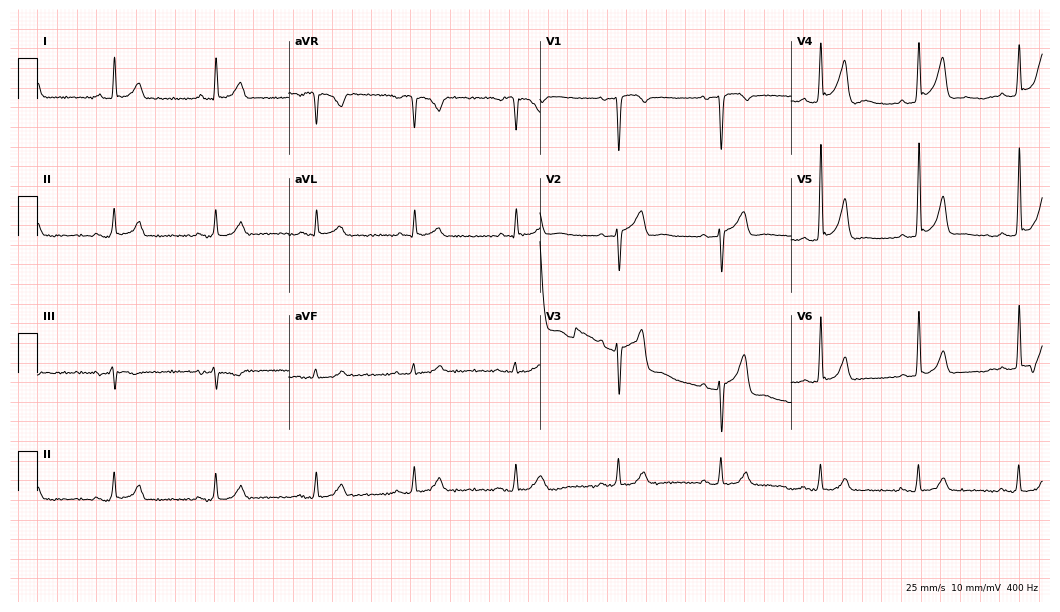
Standard 12-lead ECG recorded from a 53-year-old man. None of these six findings is recorded: first-degree AV block, right bundle branch block, left bundle branch block, sinus bradycardia, atrial fibrillation, sinus tachycardia.